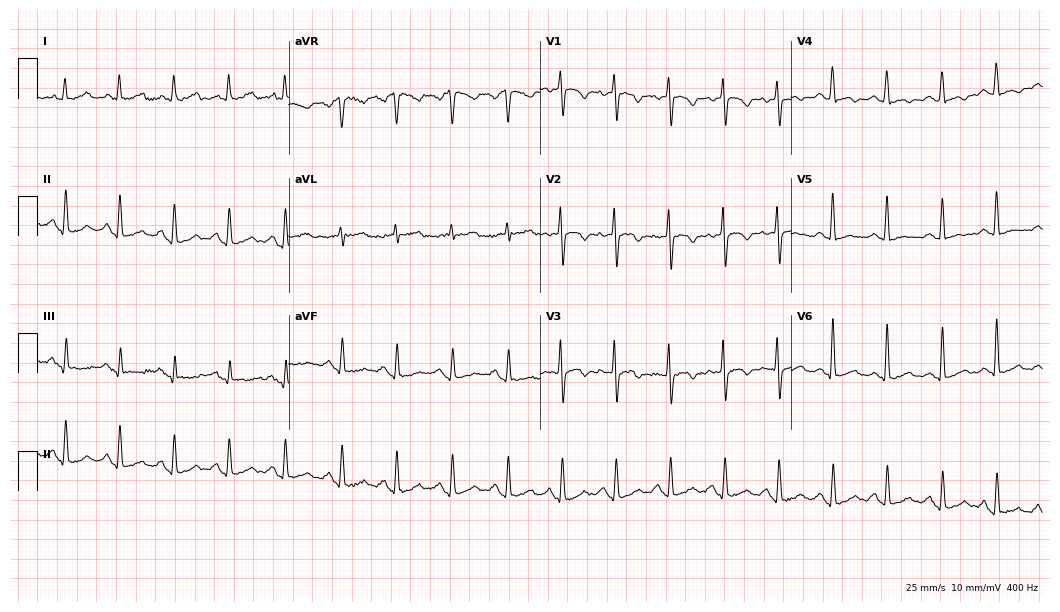
12-lead ECG from a 51-year-old female patient (10.2-second recording at 400 Hz). Shows sinus tachycardia (a sinus rate of 100 beats per minute or more).